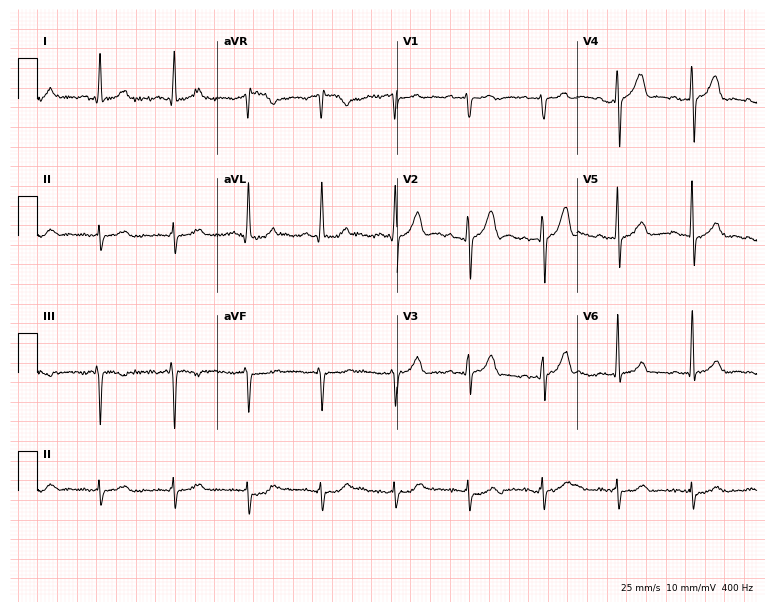
Electrocardiogram (7.3-second recording at 400 Hz), a 46-year-old man. Overall reading on record: normal ECG.